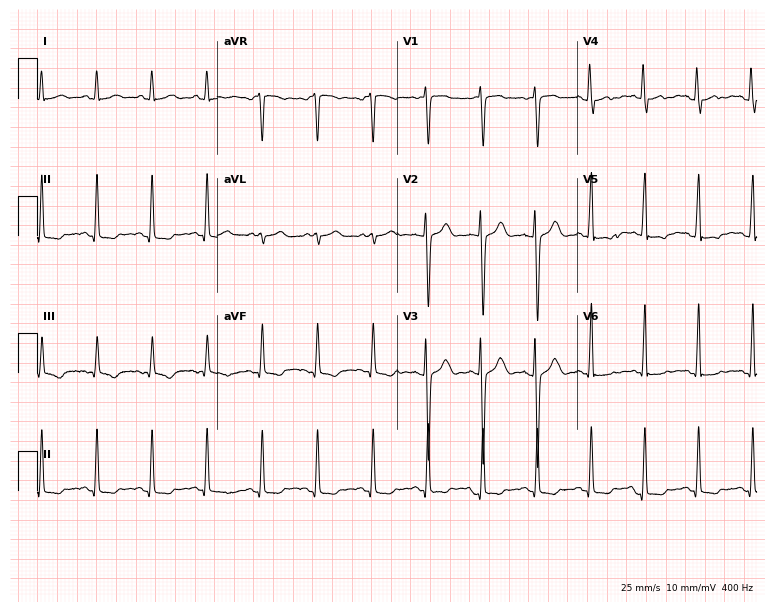
Standard 12-lead ECG recorded from a woman, 28 years old (7.3-second recording at 400 Hz). None of these six findings is recorded: first-degree AV block, right bundle branch block (RBBB), left bundle branch block (LBBB), sinus bradycardia, atrial fibrillation (AF), sinus tachycardia.